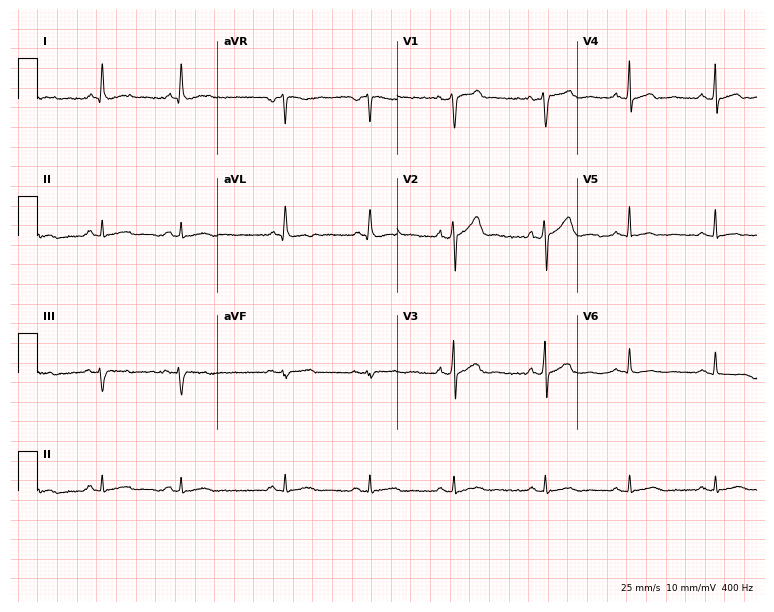
Resting 12-lead electrocardiogram (7.3-second recording at 400 Hz). Patient: a male, 49 years old. Read as a normal ECG.